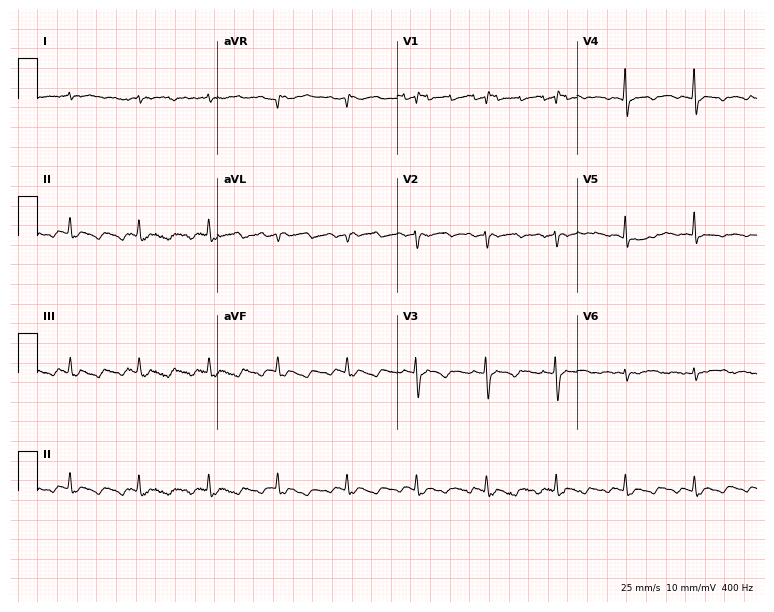
Resting 12-lead electrocardiogram. Patient: a 54-year-old man. None of these six findings is recorded: first-degree AV block, right bundle branch block (RBBB), left bundle branch block (LBBB), sinus bradycardia, atrial fibrillation (AF), sinus tachycardia.